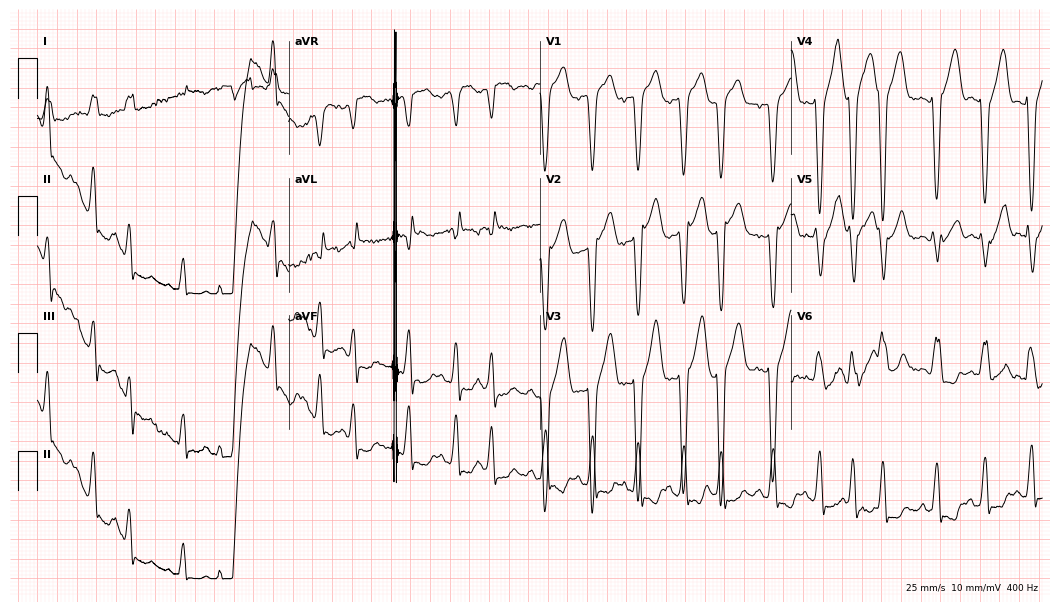
Resting 12-lead electrocardiogram (10.2-second recording at 400 Hz). Patient: an 85-year-old female. None of these six findings is recorded: first-degree AV block, right bundle branch block, left bundle branch block, sinus bradycardia, atrial fibrillation, sinus tachycardia. Only these six findings were labelled.